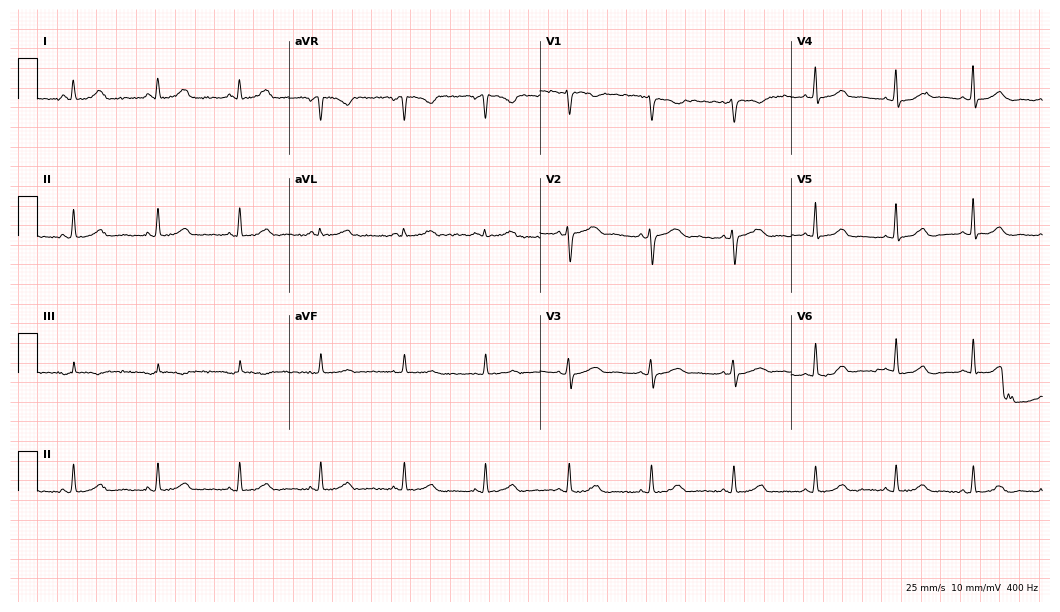
Resting 12-lead electrocardiogram (10.2-second recording at 400 Hz). Patient: a female, 49 years old. Read as a normal ECG.